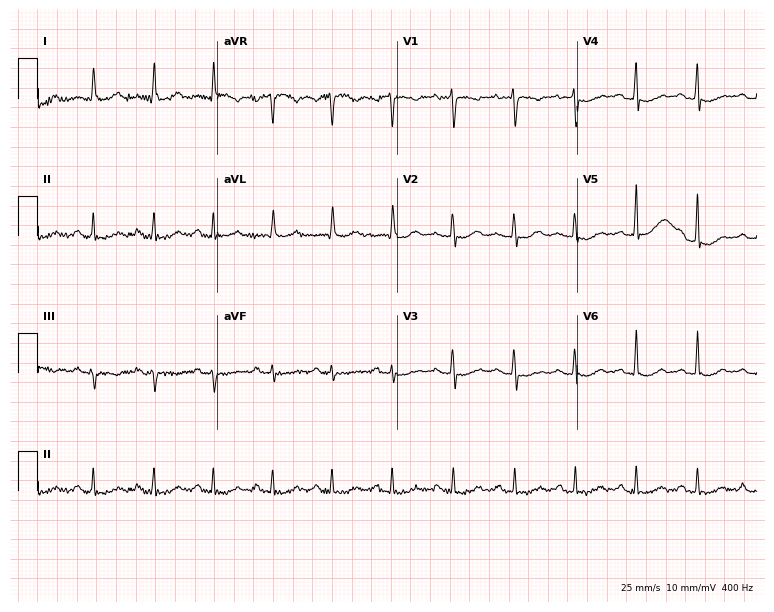
12-lead ECG from a woman, 56 years old. No first-degree AV block, right bundle branch block, left bundle branch block, sinus bradycardia, atrial fibrillation or sinus tachycardia recorded for this tracing.